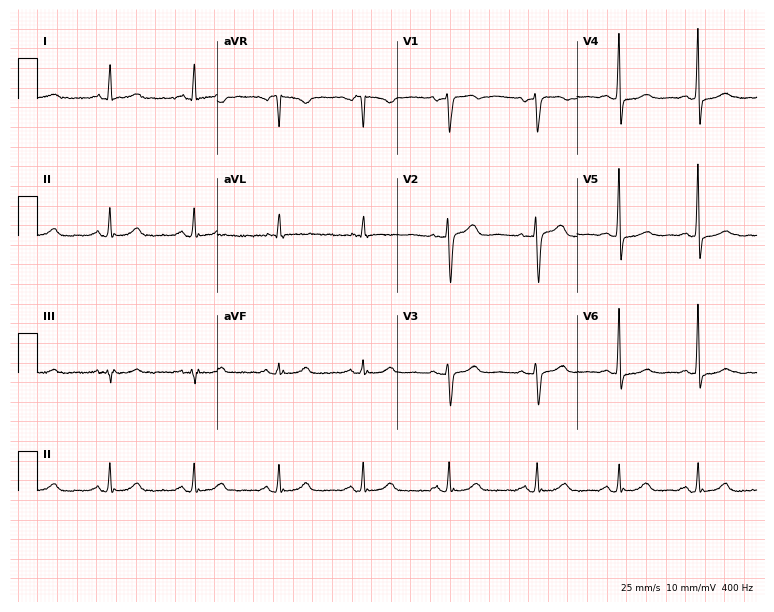
Resting 12-lead electrocardiogram. Patient: a woman, 54 years old. Read as a normal ECG.